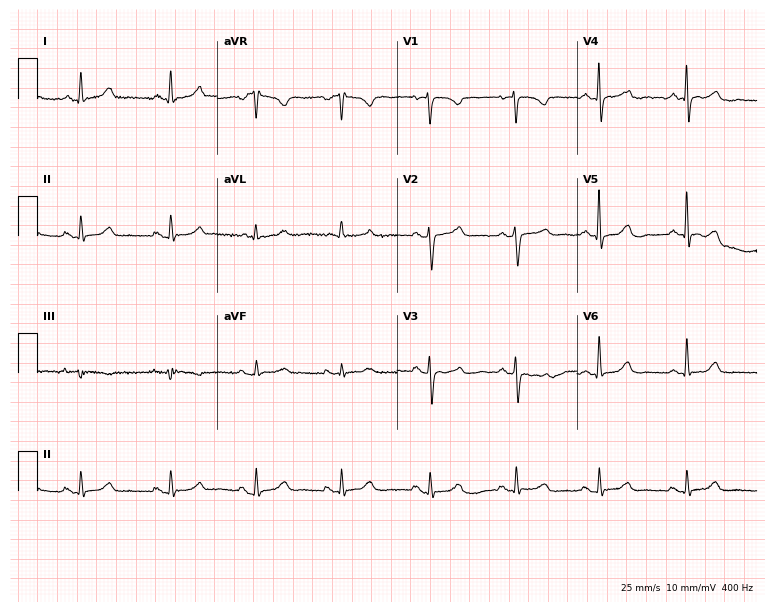
12-lead ECG (7.3-second recording at 400 Hz) from a female, 50 years old. Labelled as a normal ECG.